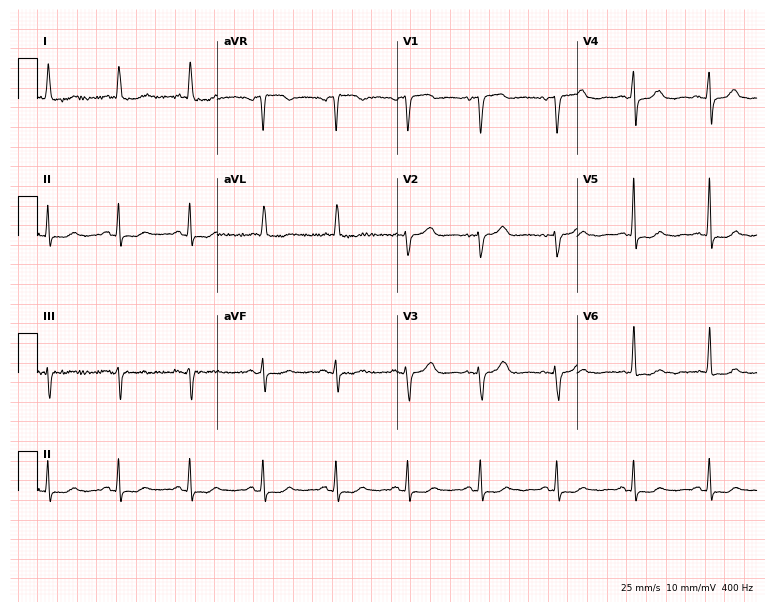
12-lead ECG from a 75-year-old female (7.3-second recording at 400 Hz). No first-degree AV block, right bundle branch block, left bundle branch block, sinus bradycardia, atrial fibrillation or sinus tachycardia recorded for this tracing.